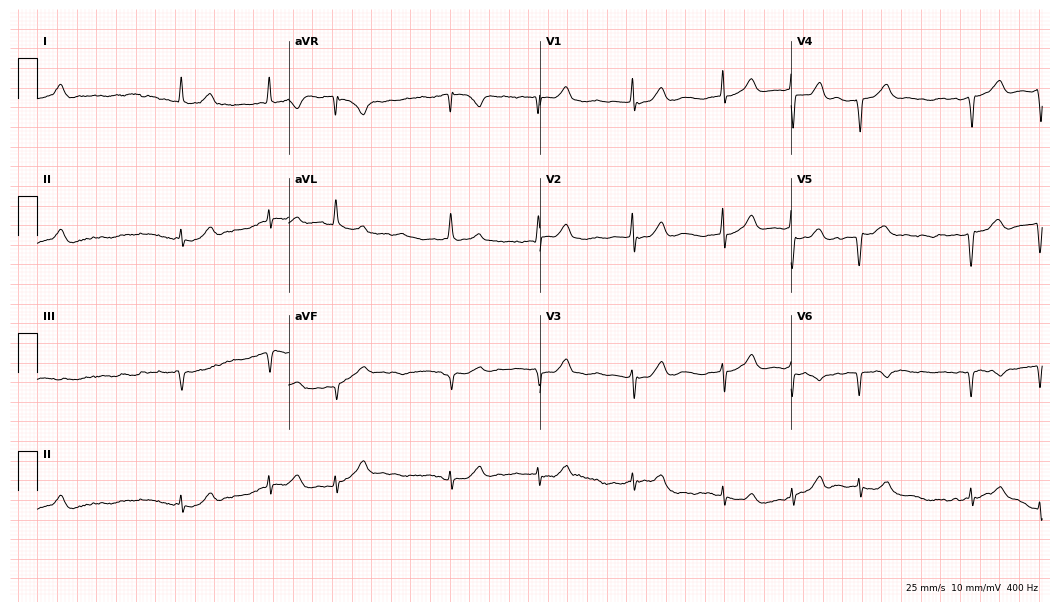
ECG — a woman, 84 years old. Screened for six findings — first-degree AV block, right bundle branch block, left bundle branch block, sinus bradycardia, atrial fibrillation, sinus tachycardia — none is recorded.